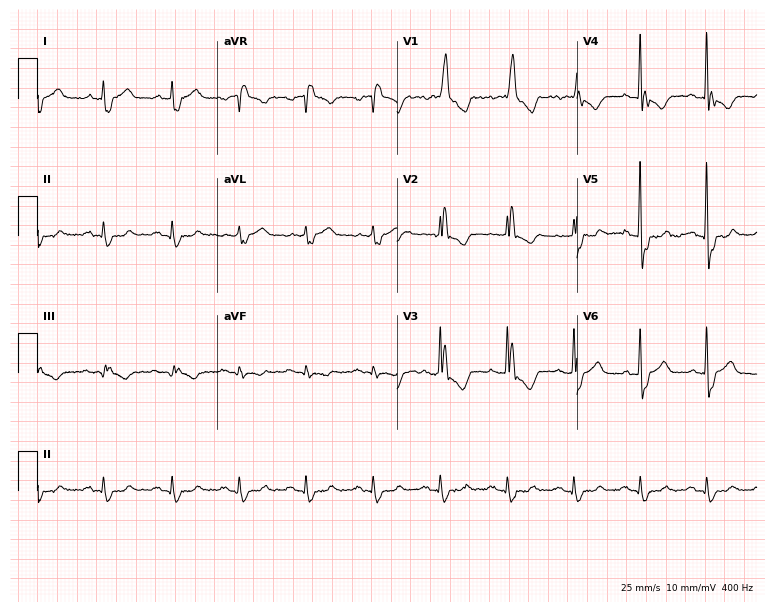
Electrocardiogram (7.3-second recording at 400 Hz), a man, 80 years old. Interpretation includes right bundle branch block (RBBB).